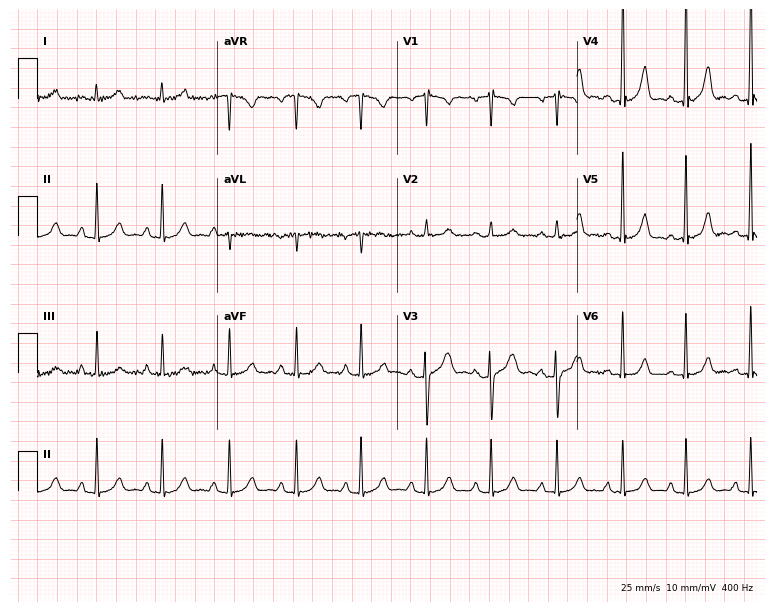
Standard 12-lead ECG recorded from an 18-year-old female (7.3-second recording at 400 Hz). Read as a normal ECG.